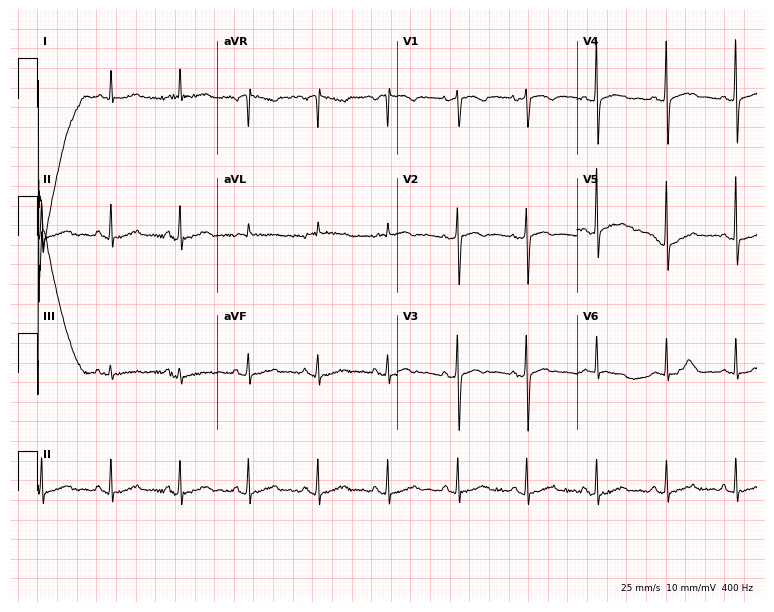
12-lead ECG from an 82-year-old female (7.3-second recording at 400 Hz). No first-degree AV block, right bundle branch block (RBBB), left bundle branch block (LBBB), sinus bradycardia, atrial fibrillation (AF) or sinus tachycardia recorded for this tracing. Other findings, if any, are not listed.